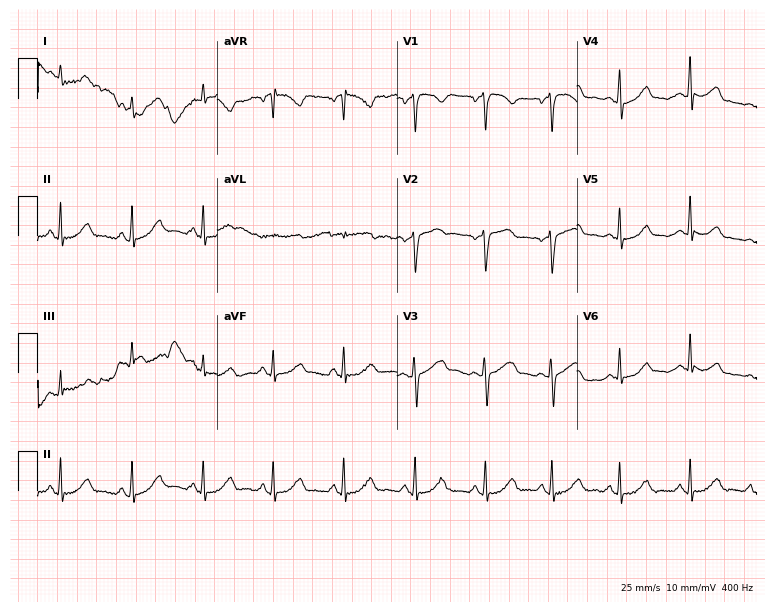
ECG — a female, 46 years old. Labelled as a normal ECG.